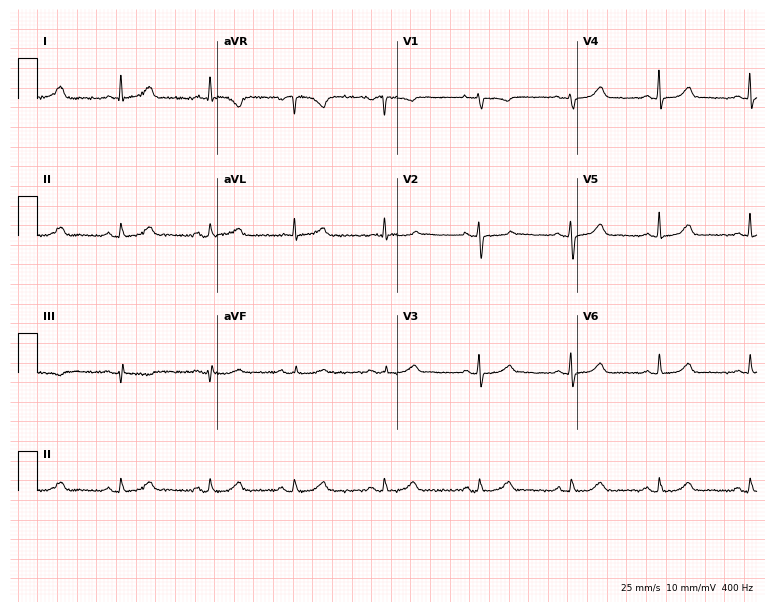
12-lead ECG (7.3-second recording at 400 Hz) from a female patient, 50 years old. Screened for six findings — first-degree AV block, right bundle branch block, left bundle branch block, sinus bradycardia, atrial fibrillation, sinus tachycardia — none is recorded.